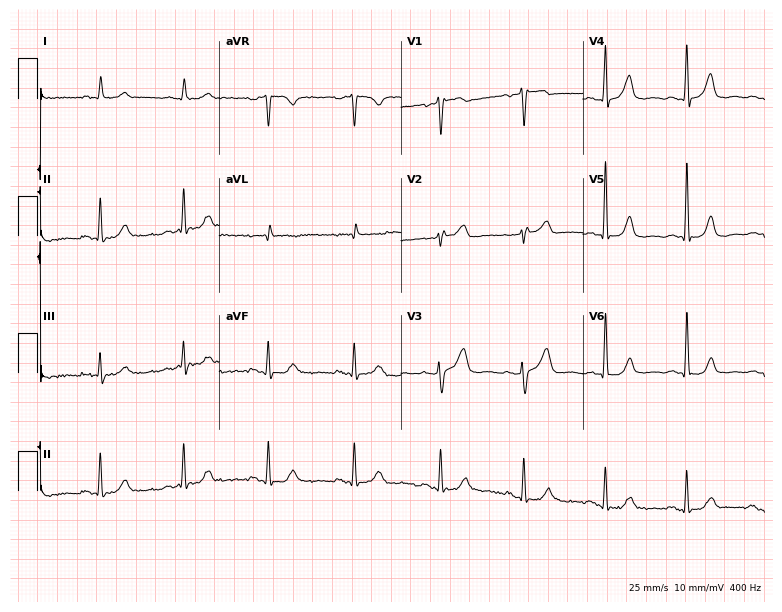
Electrocardiogram, a female, 72 years old. Overall reading on record: normal ECG.